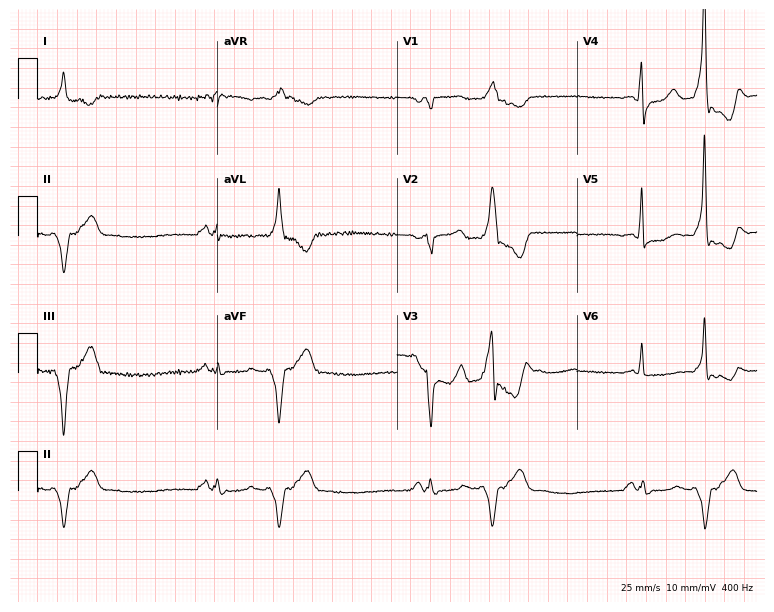
Standard 12-lead ECG recorded from a 71-year-old male (7.3-second recording at 400 Hz). None of these six findings is recorded: first-degree AV block, right bundle branch block (RBBB), left bundle branch block (LBBB), sinus bradycardia, atrial fibrillation (AF), sinus tachycardia. Other findings, if any, are not listed.